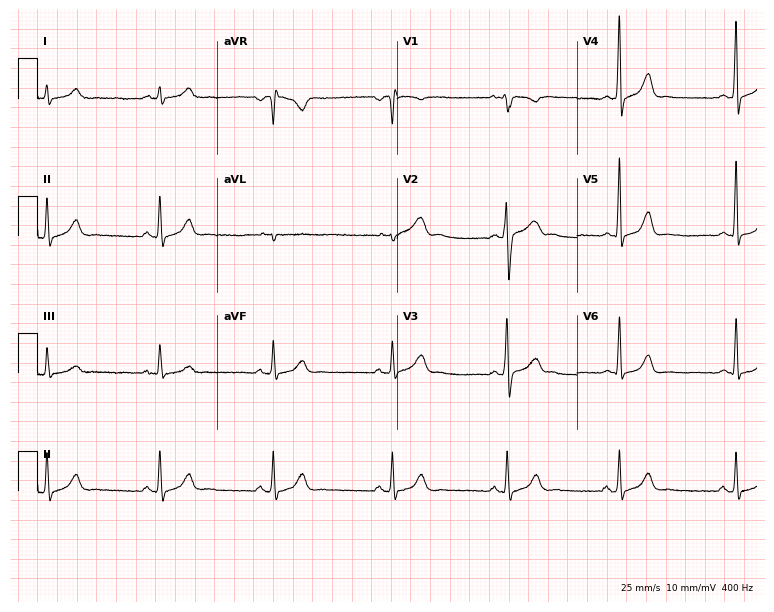
ECG — a 33-year-old male. Labelled as a normal ECG.